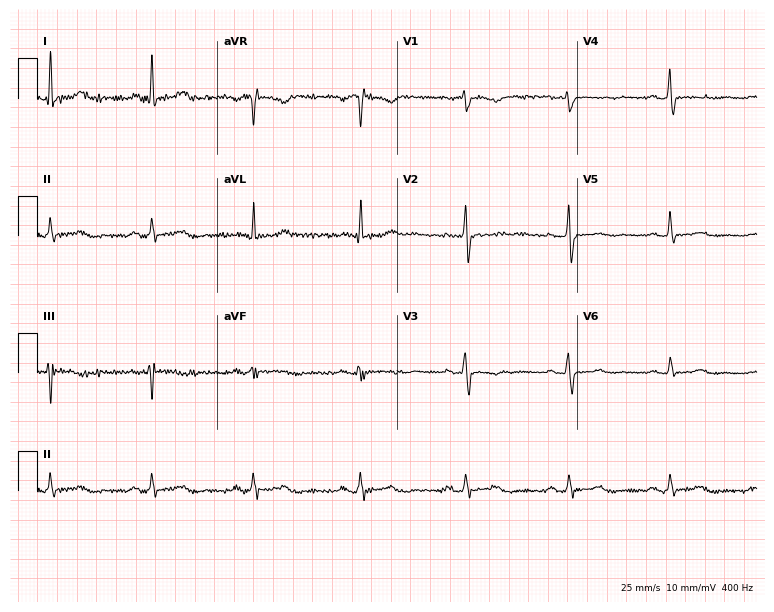
Resting 12-lead electrocardiogram. Patient: a female, 64 years old. Read as a normal ECG.